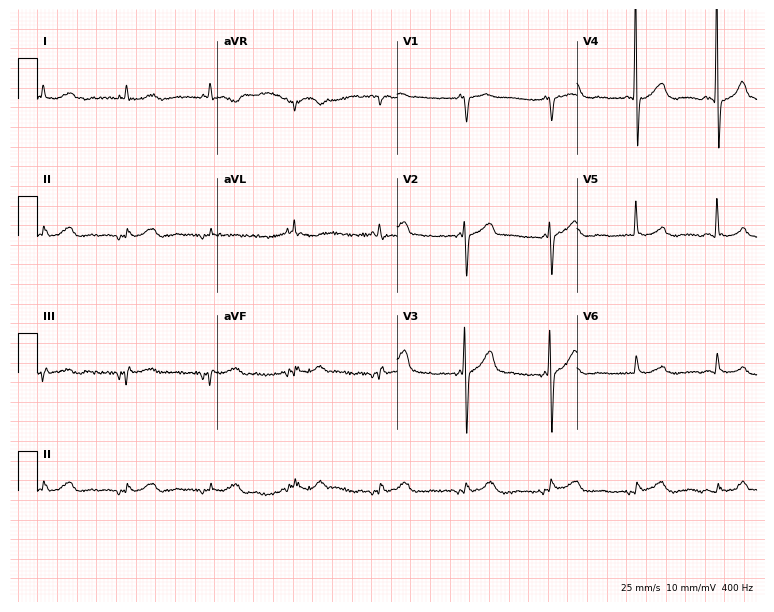
12-lead ECG from a 76-year-old male patient. No first-degree AV block, right bundle branch block, left bundle branch block, sinus bradycardia, atrial fibrillation or sinus tachycardia recorded for this tracing.